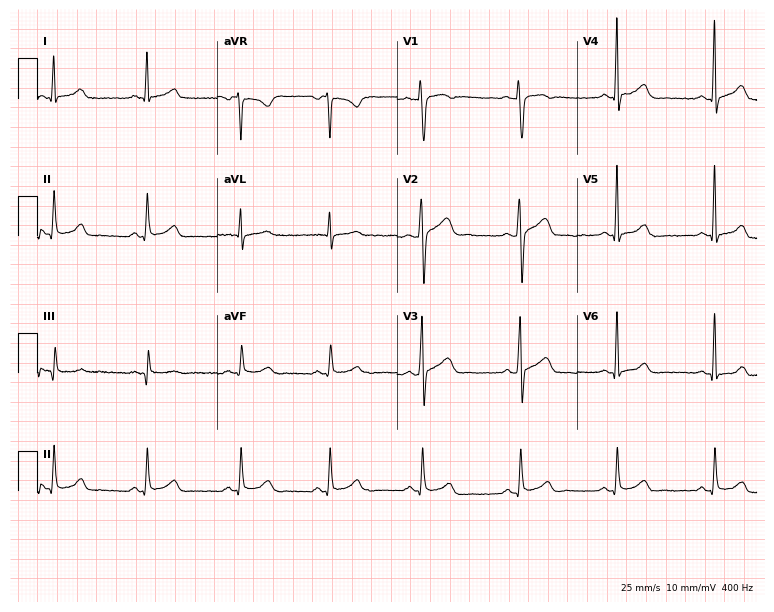
ECG — a male, 40 years old. Labelled as a normal ECG.